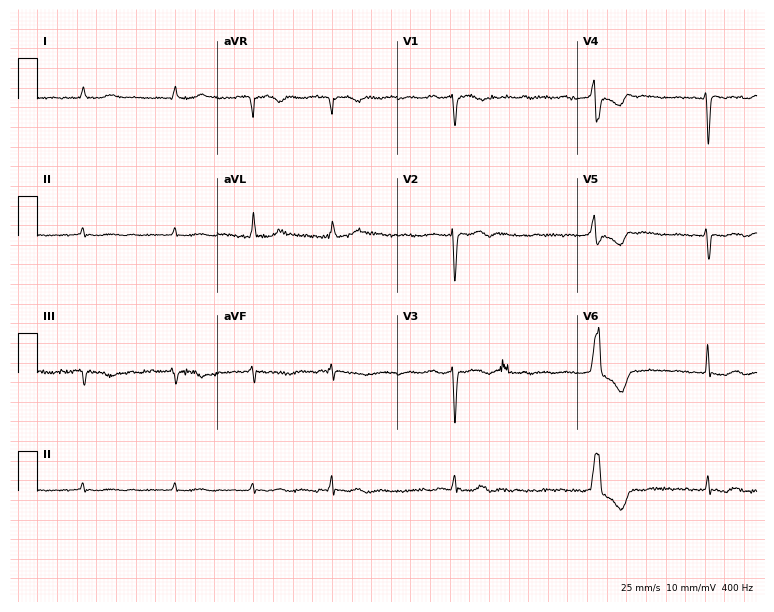
Resting 12-lead electrocardiogram (7.3-second recording at 400 Hz). Patient: a female, 74 years old. None of these six findings is recorded: first-degree AV block, right bundle branch block (RBBB), left bundle branch block (LBBB), sinus bradycardia, atrial fibrillation (AF), sinus tachycardia. Only these six findings were labelled.